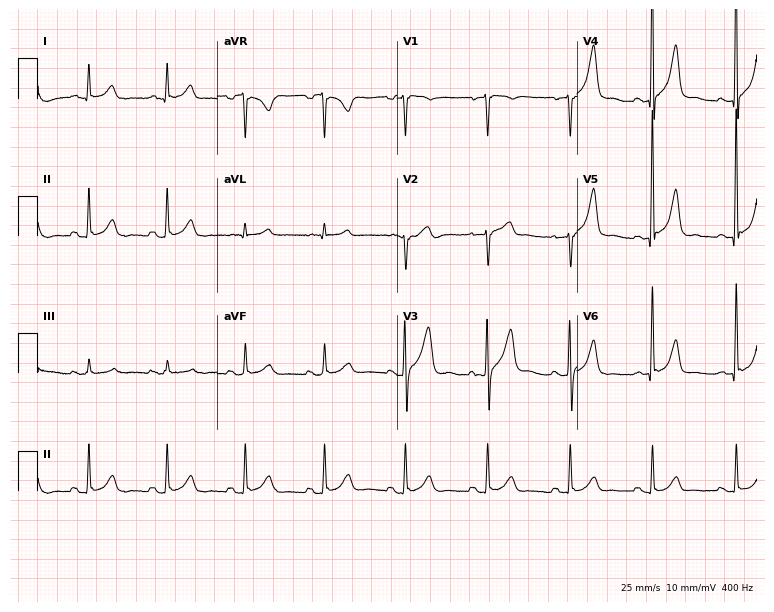
Electrocardiogram (7.3-second recording at 400 Hz), a 52-year-old man. Of the six screened findings (first-degree AV block, right bundle branch block, left bundle branch block, sinus bradycardia, atrial fibrillation, sinus tachycardia), none is recorded. Other findings, if any, are not listed.